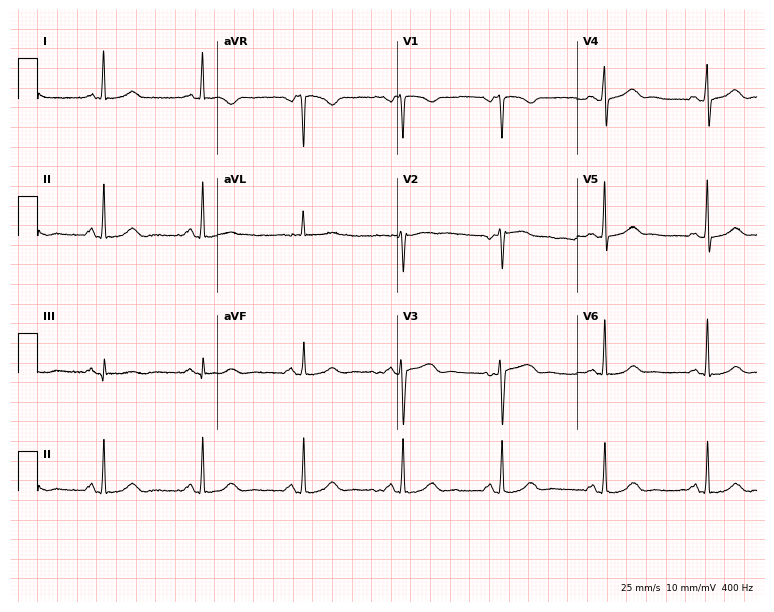
12-lead ECG from a 63-year-old female (7.3-second recording at 400 Hz). No first-degree AV block, right bundle branch block, left bundle branch block, sinus bradycardia, atrial fibrillation or sinus tachycardia recorded for this tracing.